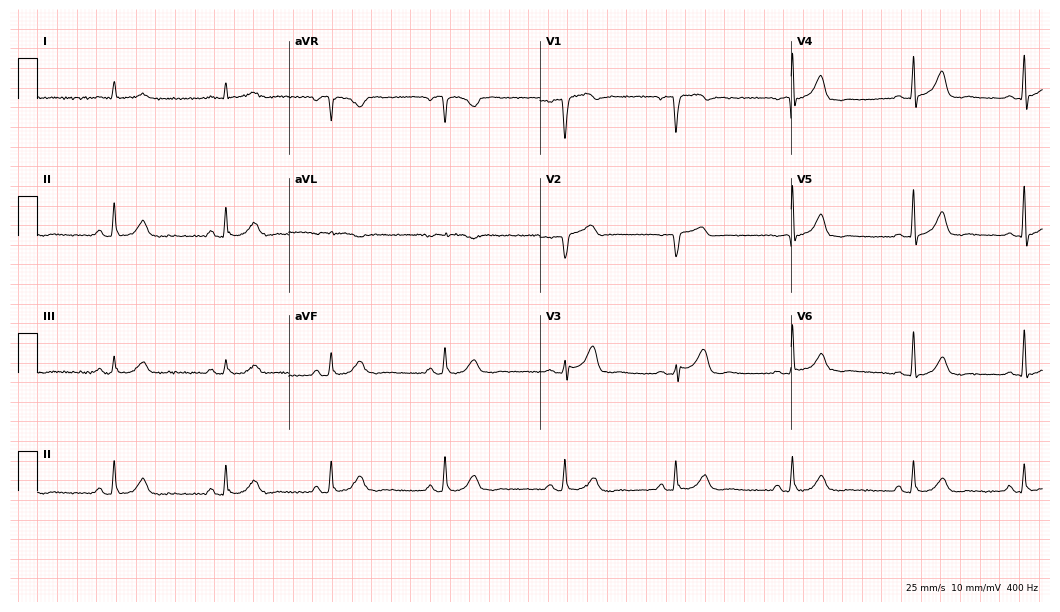
Electrocardiogram, a 70-year-old male patient. Of the six screened findings (first-degree AV block, right bundle branch block (RBBB), left bundle branch block (LBBB), sinus bradycardia, atrial fibrillation (AF), sinus tachycardia), none is recorded.